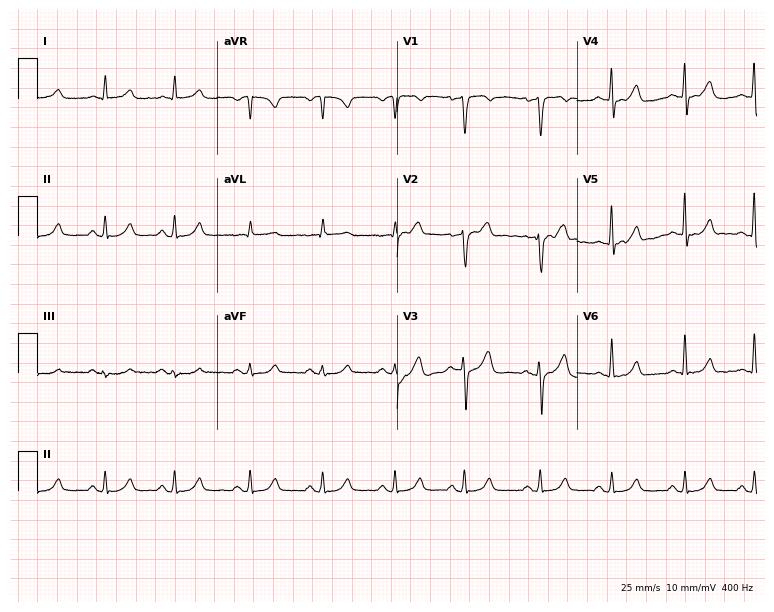
12-lead ECG from a man, 52 years old (7.3-second recording at 400 Hz). Recorded interpretation: within normal limits.